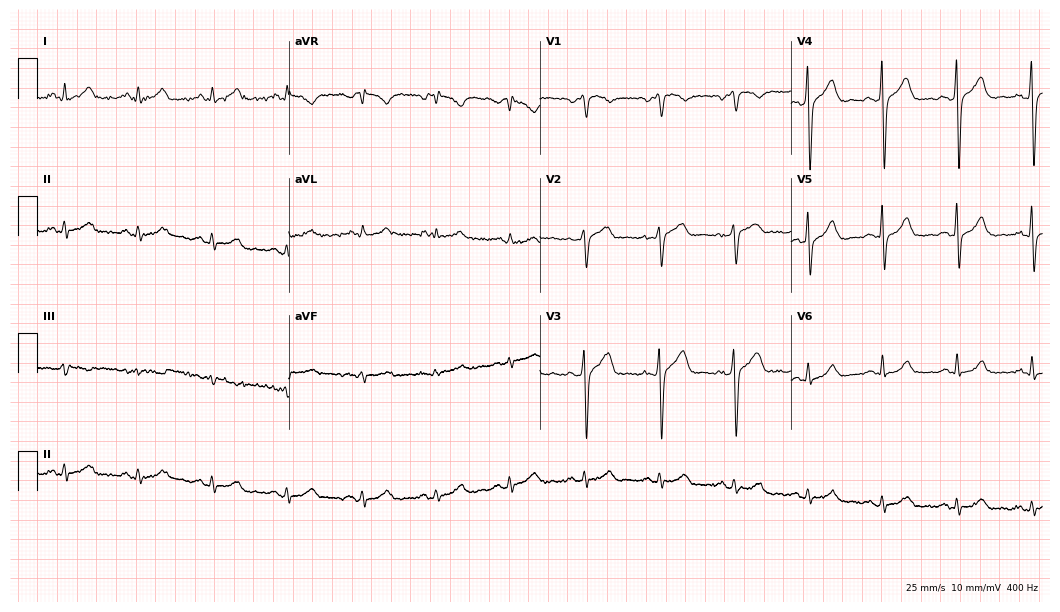
Resting 12-lead electrocardiogram (10.2-second recording at 400 Hz). Patient: a male, 47 years old. Read as a normal ECG.